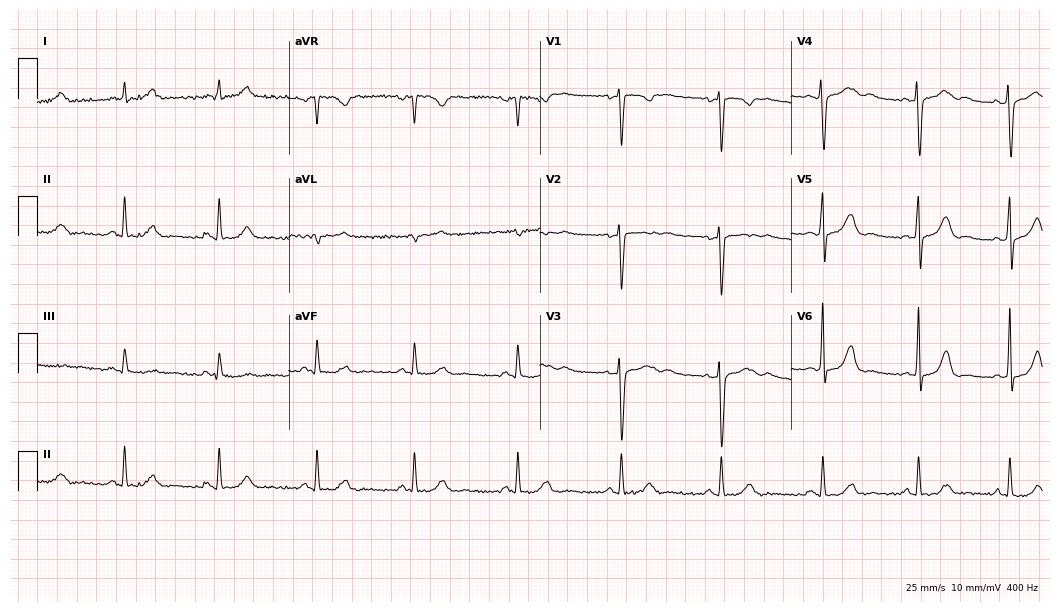
Resting 12-lead electrocardiogram. Patient: a female, 35 years old. None of these six findings is recorded: first-degree AV block, right bundle branch block, left bundle branch block, sinus bradycardia, atrial fibrillation, sinus tachycardia. Other findings, if any, are not listed.